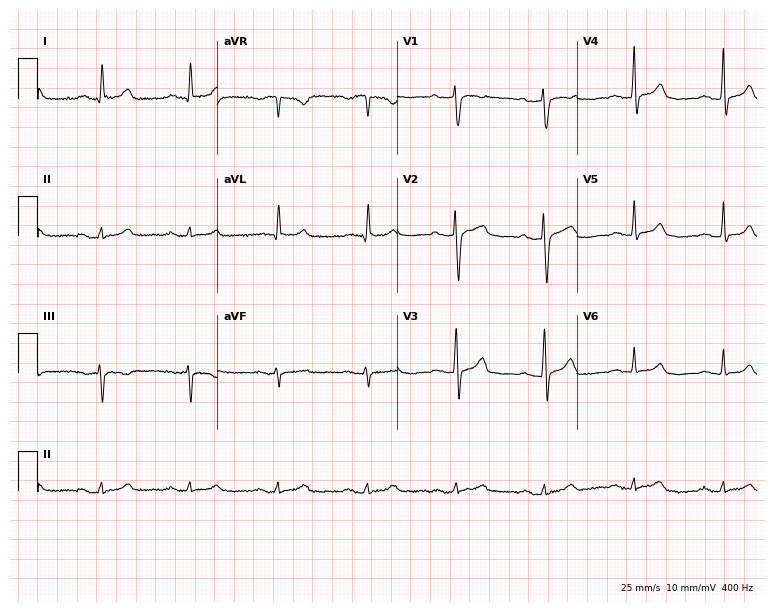
12-lead ECG from a 55-year-old male patient. Labelled as a normal ECG.